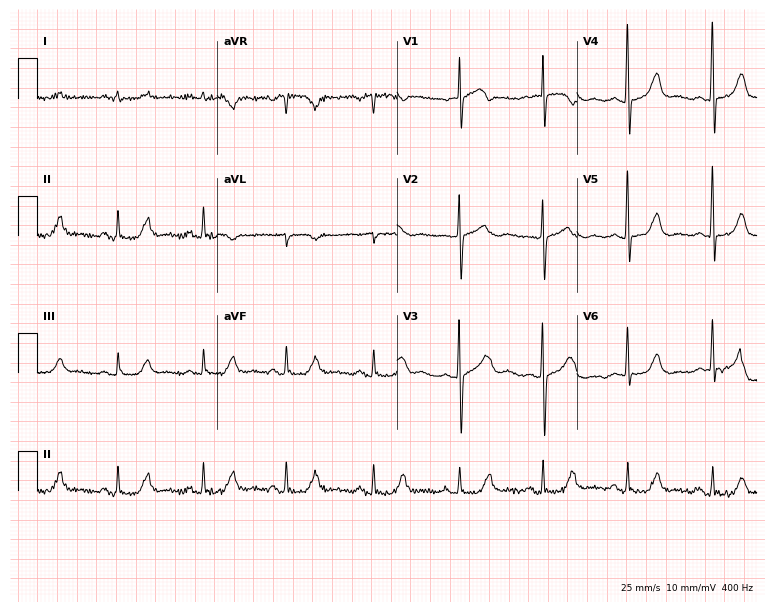
Resting 12-lead electrocardiogram. Patient: a female, 78 years old. Read as a normal ECG.